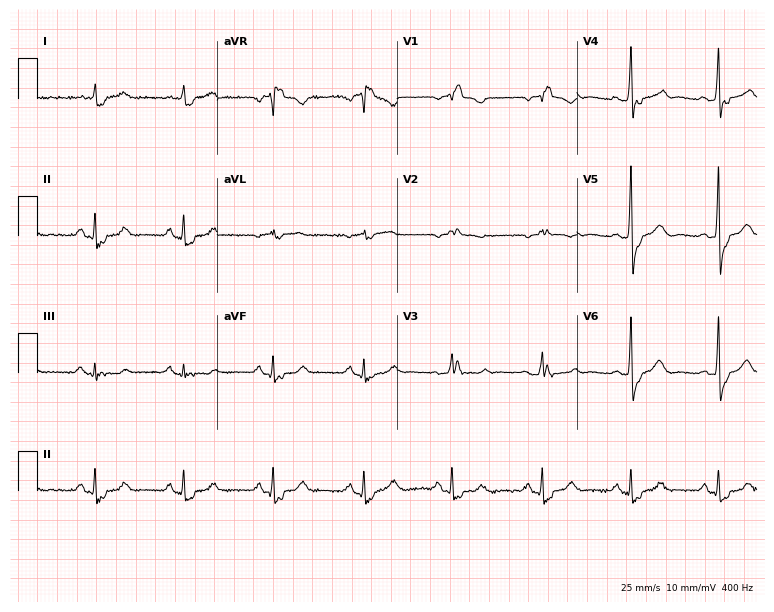
12-lead ECG (7.3-second recording at 400 Hz) from a 72-year-old male. Findings include right bundle branch block.